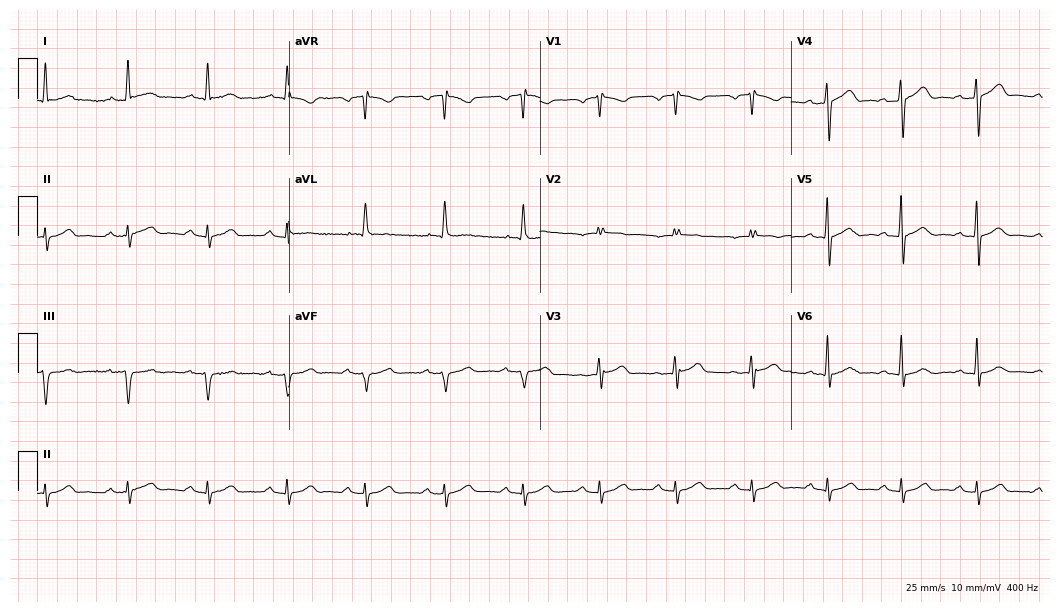
Standard 12-lead ECG recorded from a 47-year-old male patient. Read as a normal ECG.